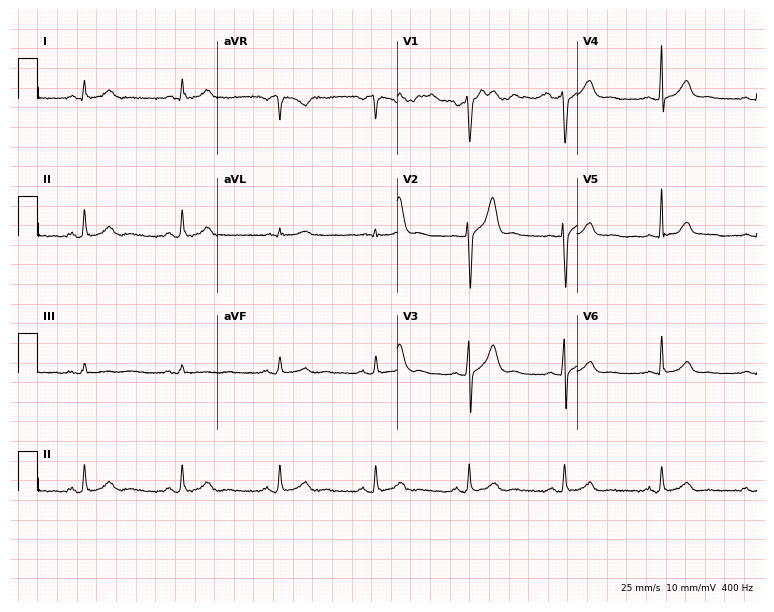
Standard 12-lead ECG recorded from a 38-year-old male patient (7.3-second recording at 400 Hz). Read as a normal ECG.